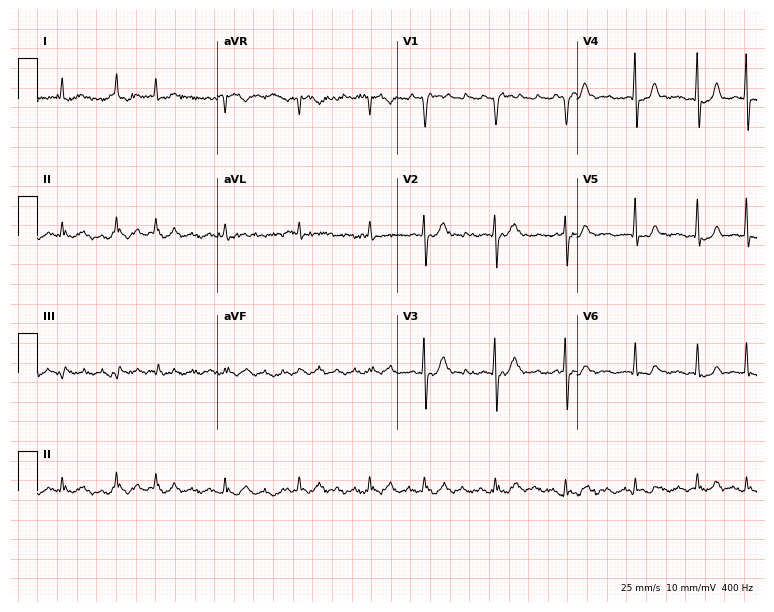
Electrocardiogram, a man, 78 years old. Of the six screened findings (first-degree AV block, right bundle branch block, left bundle branch block, sinus bradycardia, atrial fibrillation, sinus tachycardia), none is recorded.